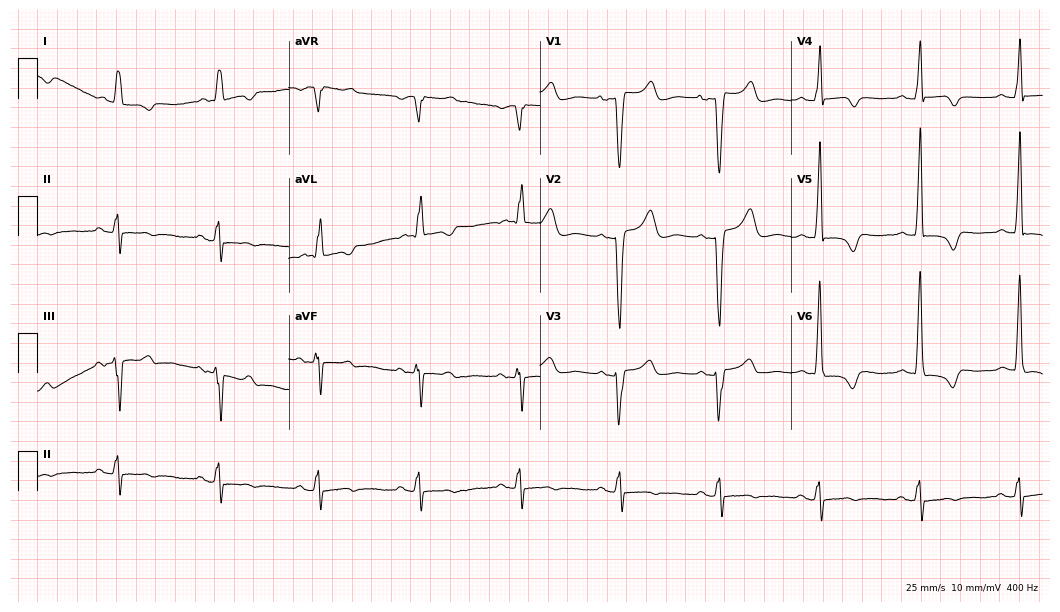
Standard 12-lead ECG recorded from a 66-year-old female patient. None of these six findings is recorded: first-degree AV block, right bundle branch block, left bundle branch block, sinus bradycardia, atrial fibrillation, sinus tachycardia. Findings outside these six are not listed.